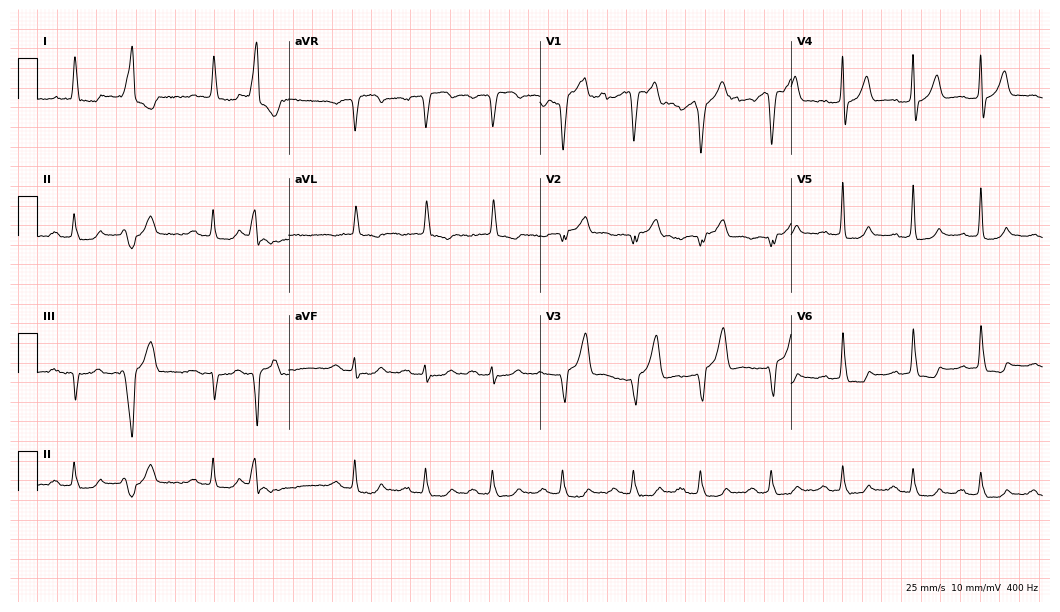
Standard 12-lead ECG recorded from an 82-year-old male patient. None of these six findings is recorded: first-degree AV block, right bundle branch block (RBBB), left bundle branch block (LBBB), sinus bradycardia, atrial fibrillation (AF), sinus tachycardia. Other findings, if any, are not listed.